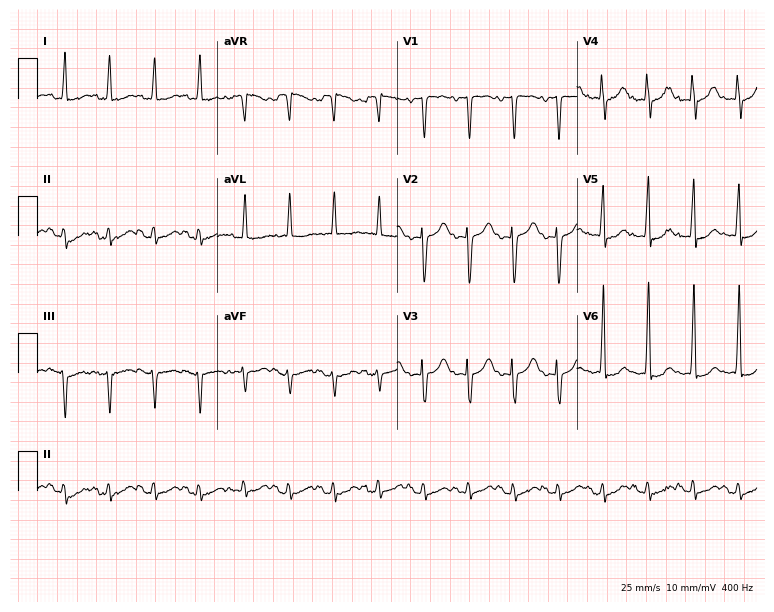
Electrocardiogram, a 71-year-old female. Interpretation includes sinus tachycardia (a sinus rate of 100 beats per minute or more).